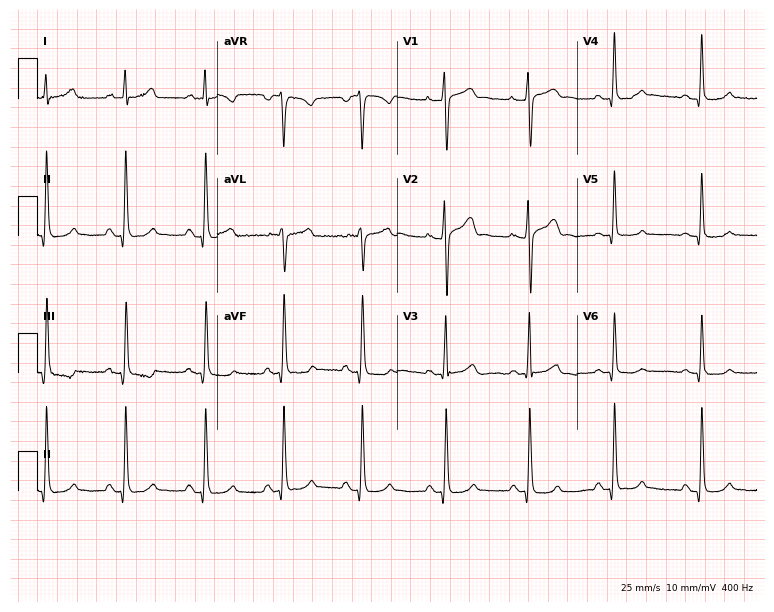
ECG (7.3-second recording at 400 Hz) — a 19-year-old male. Labelled as a normal ECG.